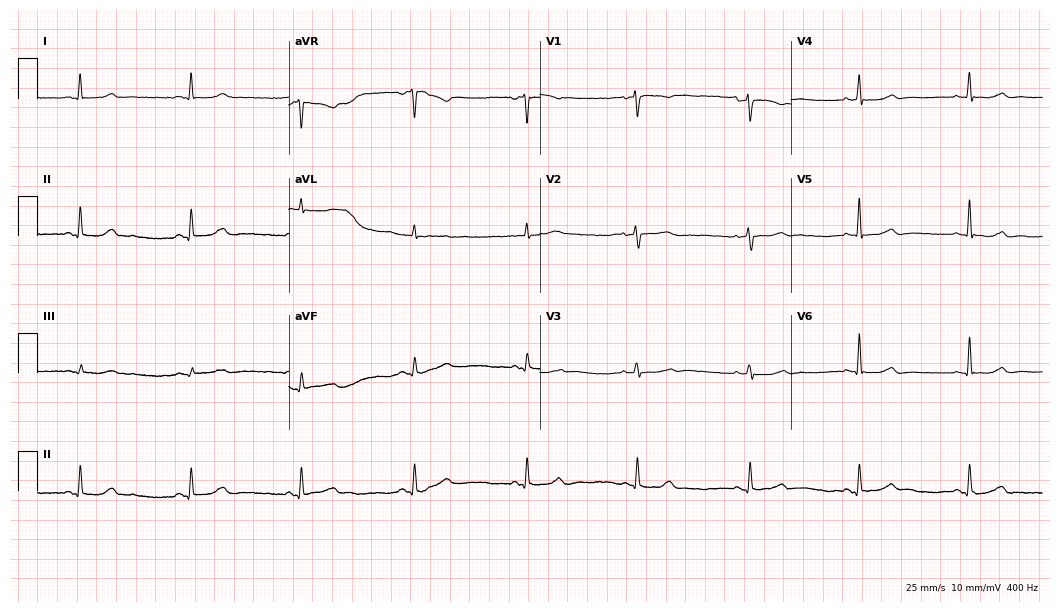
Standard 12-lead ECG recorded from a 65-year-old female patient (10.2-second recording at 400 Hz). Read as a normal ECG.